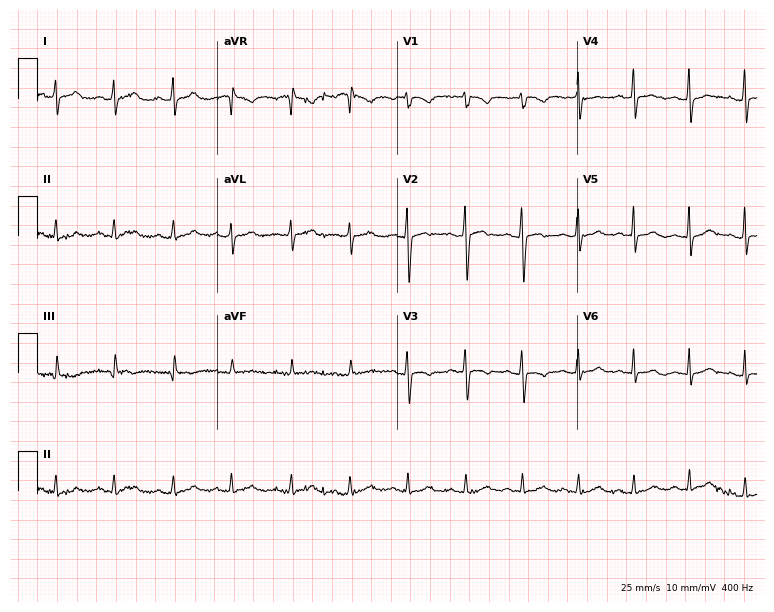
Electrocardiogram (7.3-second recording at 400 Hz), a female patient, 19 years old. Of the six screened findings (first-degree AV block, right bundle branch block (RBBB), left bundle branch block (LBBB), sinus bradycardia, atrial fibrillation (AF), sinus tachycardia), none is recorded. Findings outside these six are not listed.